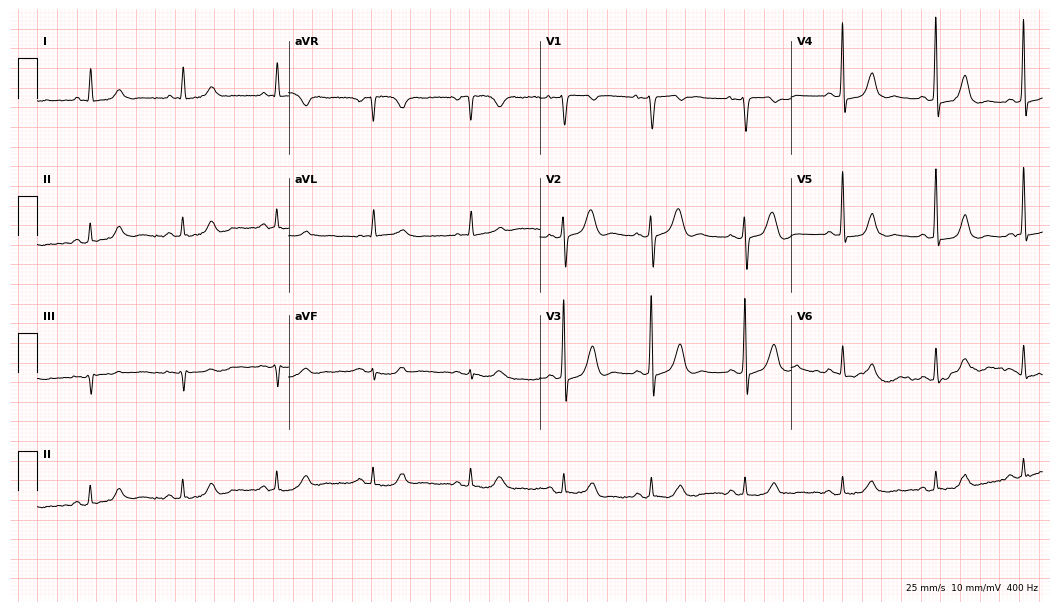
12-lead ECG (10.2-second recording at 400 Hz) from a female patient, 51 years old. Labelled as a normal ECG.